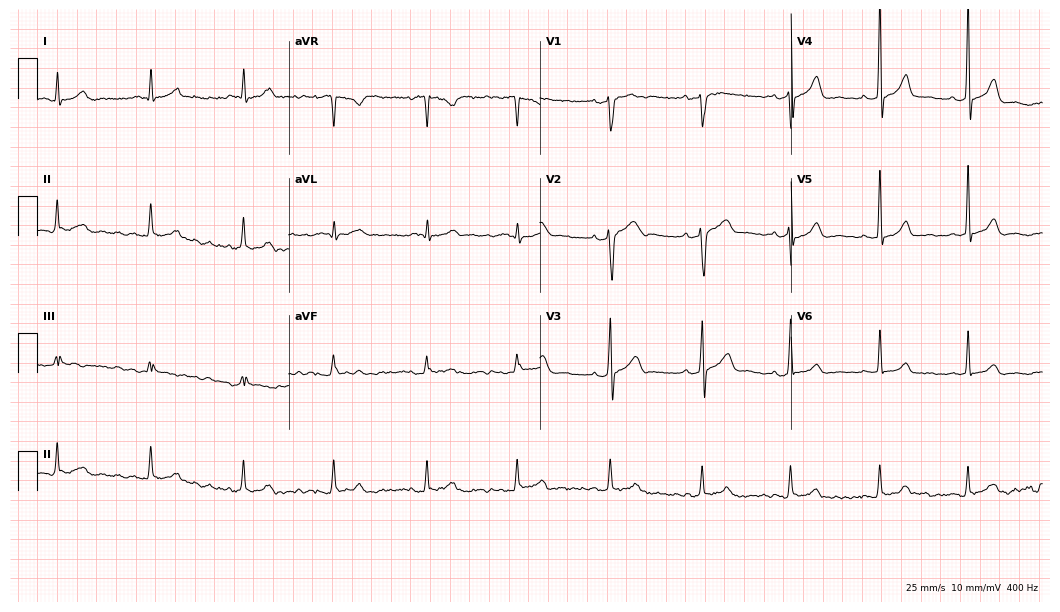
Resting 12-lead electrocardiogram (10.2-second recording at 400 Hz). Patient: a 45-year-old male. Read as a normal ECG.